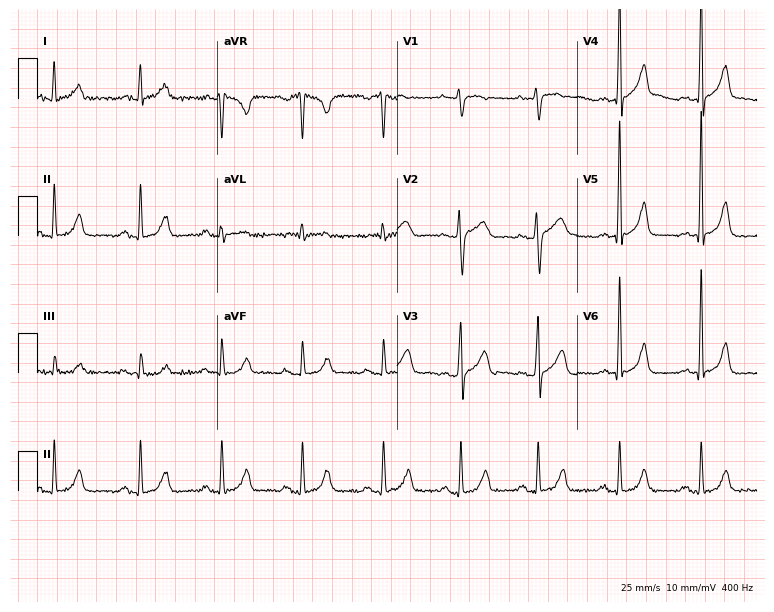
Resting 12-lead electrocardiogram. Patient: a 53-year-old woman. None of these six findings is recorded: first-degree AV block, right bundle branch block, left bundle branch block, sinus bradycardia, atrial fibrillation, sinus tachycardia. Other findings, if any, are not listed.